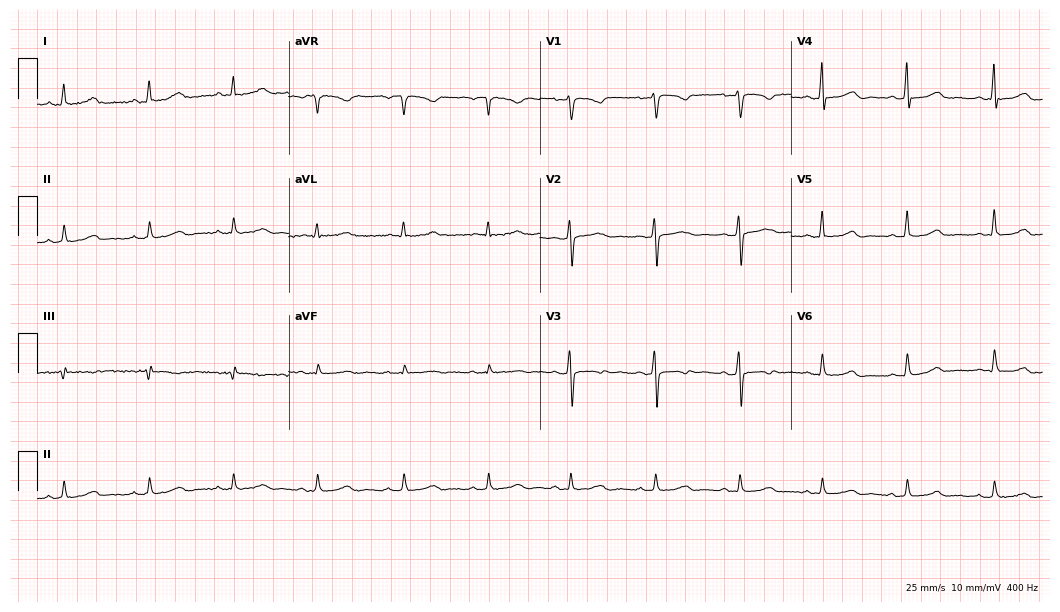
Standard 12-lead ECG recorded from a 56-year-old female (10.2-second recording at 400 Hz). None of these six findings is recorded: first-degree AV block, right bundle branch block, left bundle branch block, sinus bradycardia, atrial fibrillation, sinus tachycardia. Only these six findings were labelled.